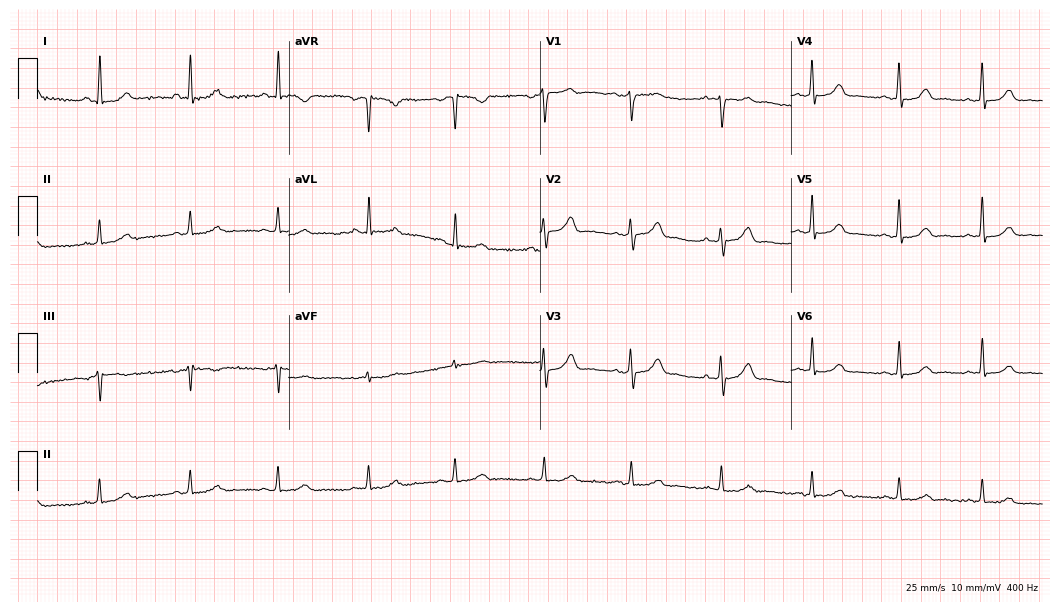
12-lead ECG (10.2-second recording at 400 Hz) from a 41-year-old female. Labelled as a normal ECG.